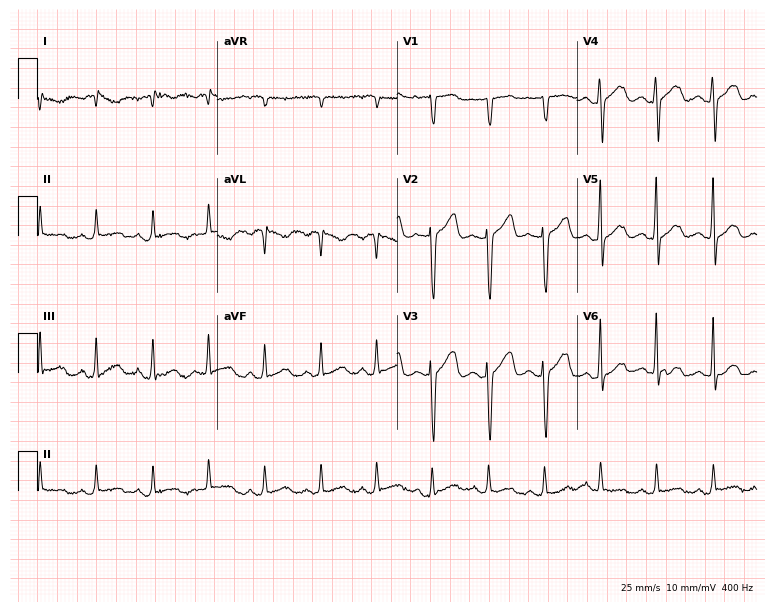
ECG (7.3-second recording at 400 Hz) — a male, 28 years old. Screened for six findings — first-degree AV block, right bundle branch block (RBBB), left bundle branch block (LBBB), sinus bradycardia, atrial fibrillation (AF), sinus tachycardia — none is recorded. Findings outside these six are not listed.